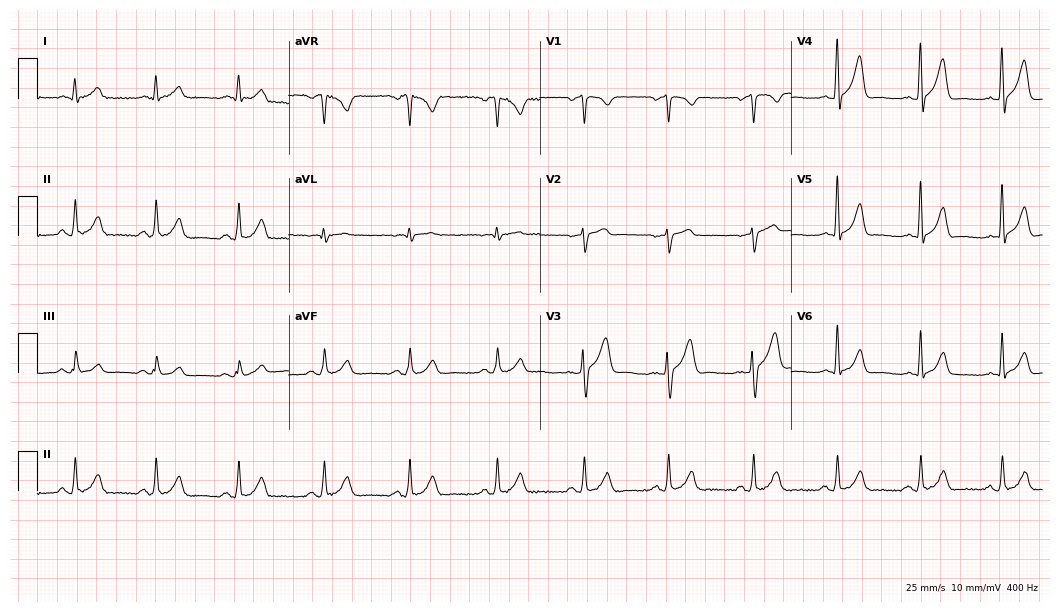
ECG — a man, 74 years old. Labelled as a normal ECG.